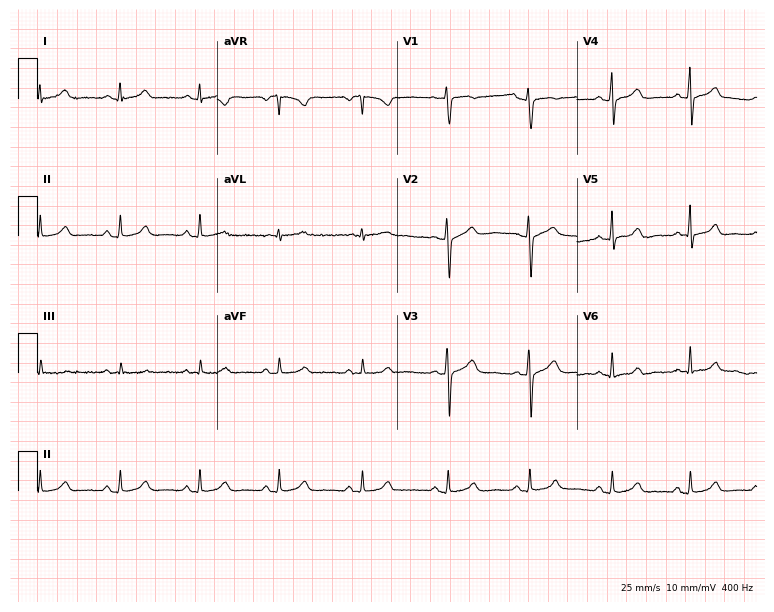
Standard 12-lead ECG recorded from a female patient, 39 years old (7.3-second recording at 400 Hz). Read as a normal ECG.